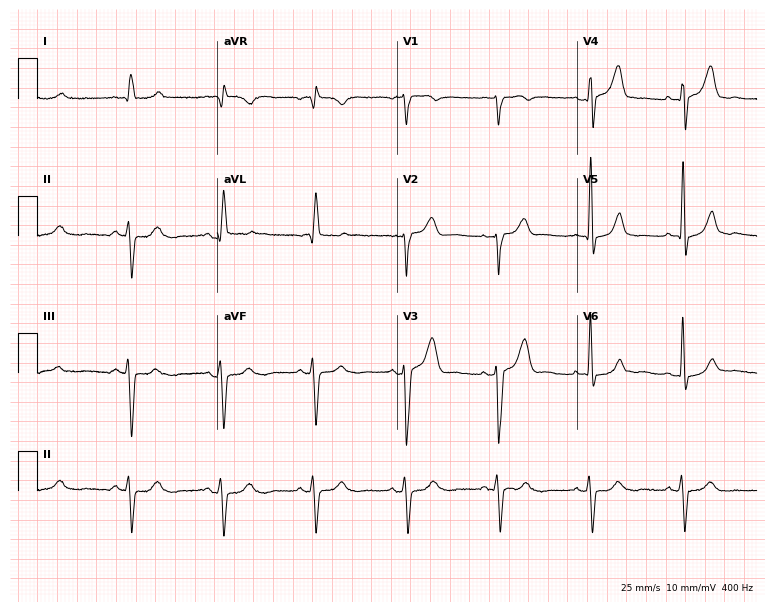
Resting 12-lead electrocardiogram. Patient: a male, 73 years old. None of these six findings is recorded: first-degree AV block, right bundle branch block, left bundle branch block, sinus bradycardia, atrial fibrillation, sinus tachycardia. Other findings, if any, are not listed.